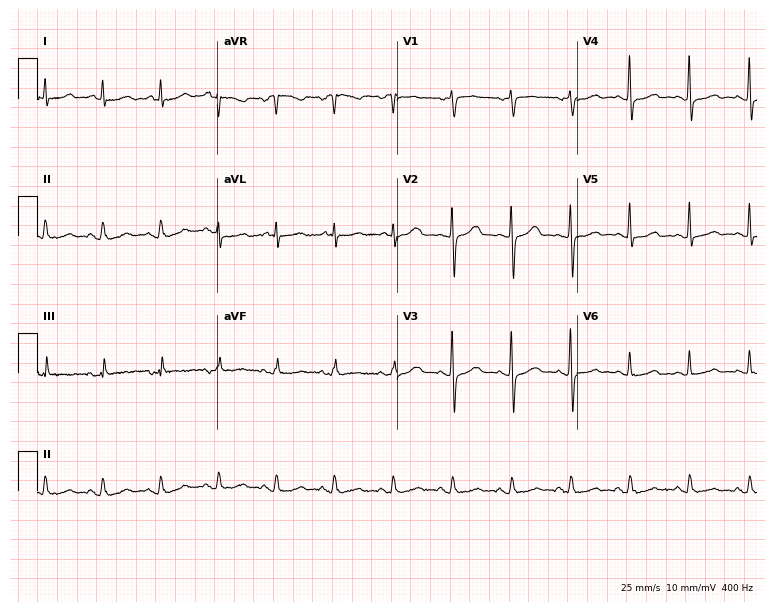
12-lead ECG from a female, 51 years old (7.3-second recording at 400 Hz). No first-degree AV block, right bundle branch block, left bundle branch block, sinus bradycardia, atrial fibrillation or sinus tachycardia recorded for this tracing.